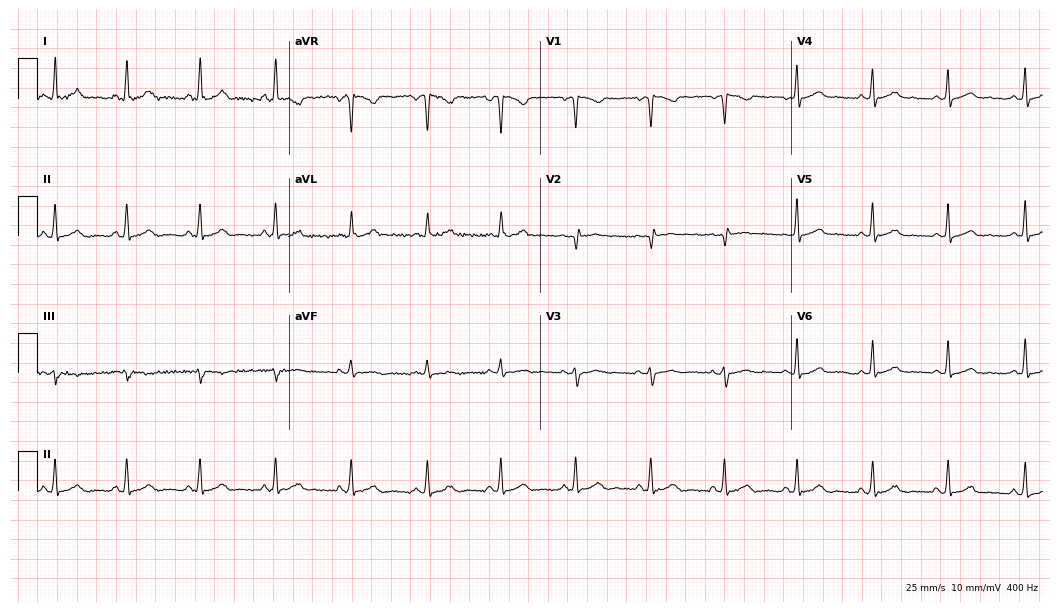
12-lead ECG from a woman, 31 years old. Screened for six findings — first-degree AV block, right bundle branch block, left bundle branch block, sinus bradycardia, atrial fibrillation, sinus tachycardia — none is recorded.